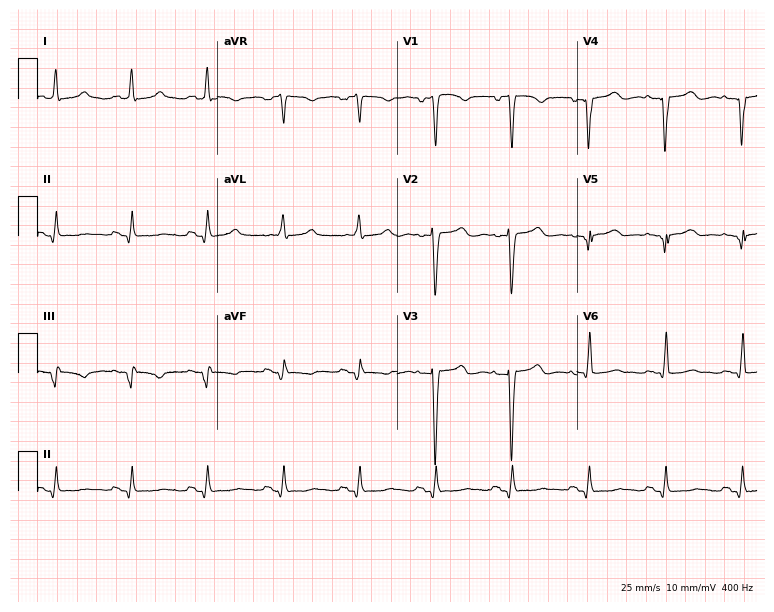
12-lead ECG from a man, 55 years old. No first-degree AV block, right bundle branch block (RBBB), left bundle branch block (LBBB), sinus bradycardia, atrial fibrillation (AF) or sinus tachycardia recorded for this tracing.